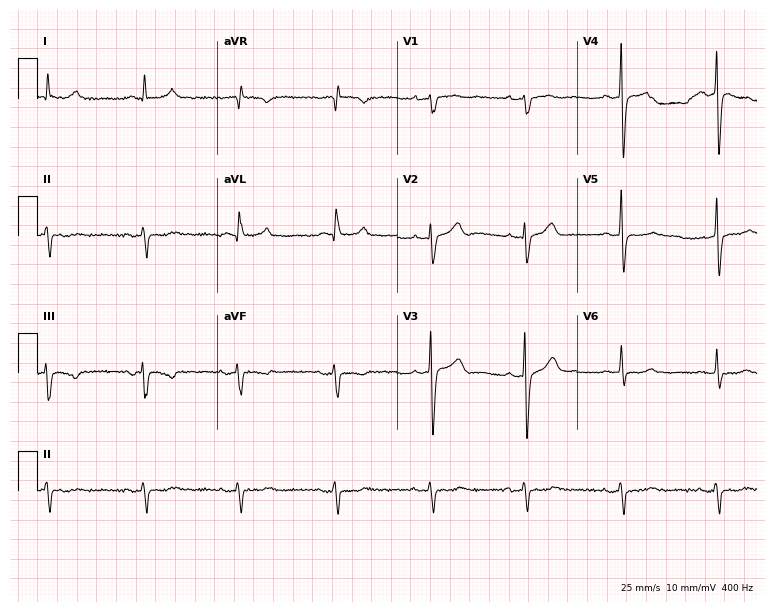
ECG (7.3-second recording at 400 Hz) — a man, 68 years old. Screened for six findings — first-degree AV block, right bundle branch block (RBBB), left bundle branch block (LBBB), sinus bradycardia, atrial fibrillation (AF), sinus tachycardia — none is recorded.